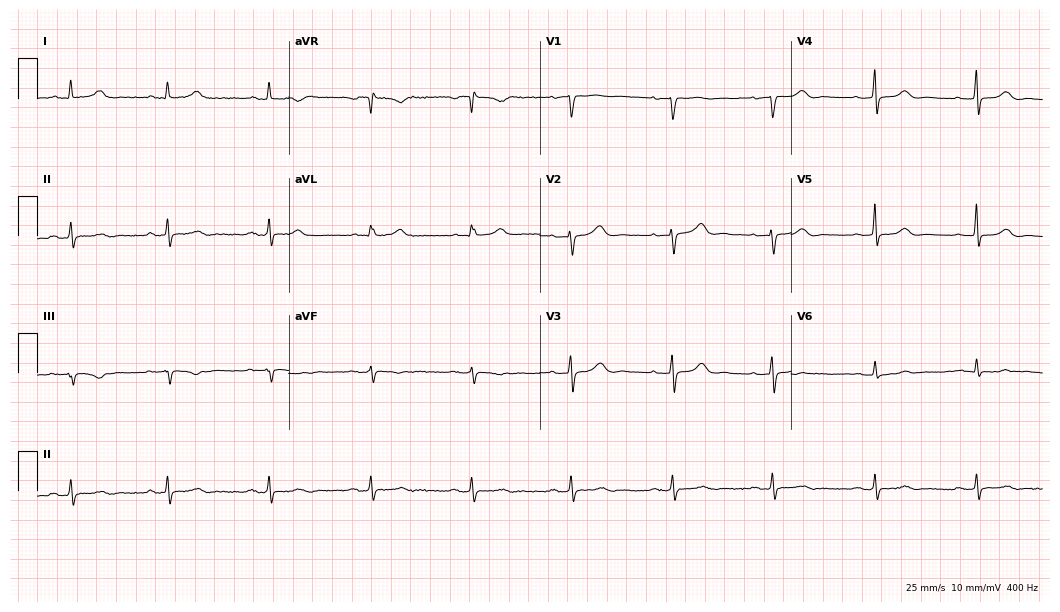
Resting 12-lead electrocardiogram. Patient: a female, 62 years old. Read as a normal ECG.